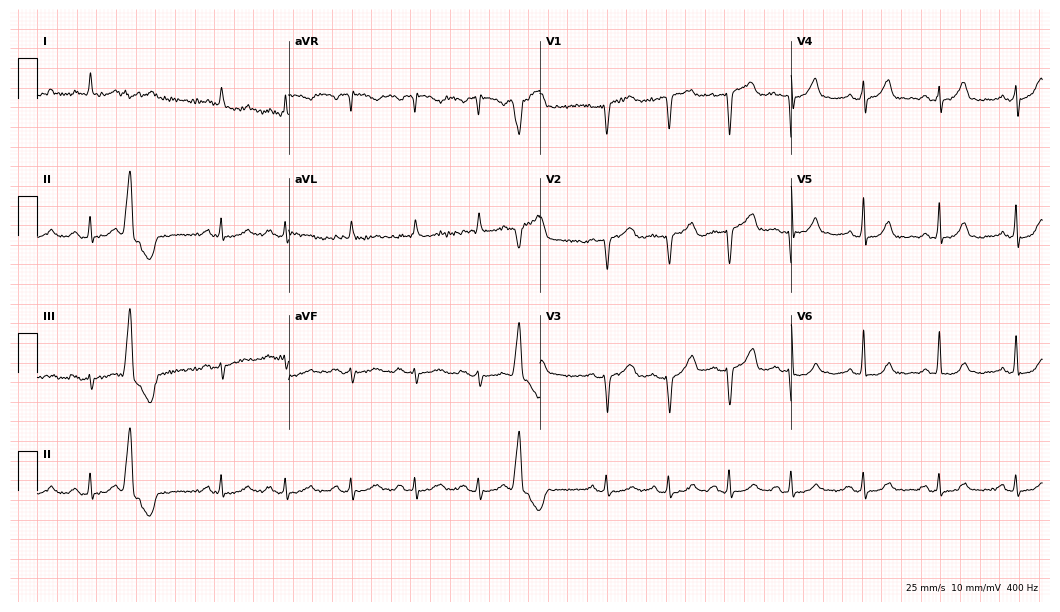
Resting 12-lead electrocardiogram. Patient: a female, 69 years old. None of these six findings is recorded: first-degree AV block, right bundle branch block, left bundle branch block, sinus bradycardia, atrial fibrillation, sinus tachycardia. Other findings, if any, are not listed.